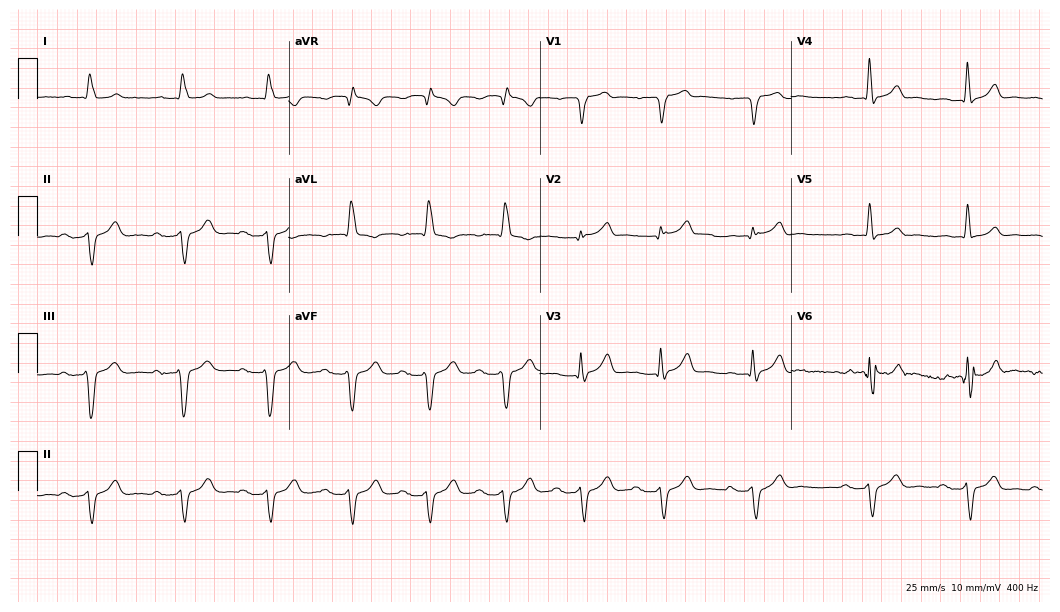
12-lead ECG from a male patient, 82 years old (10.2-second recording at 400 Hz). No first-degree AV block, right bundle branch block, left bundle branch block, sinus bradycardia, atrial fibrillation or sinus tachycardia recorded for this tracing. Only these six findings were labelled.